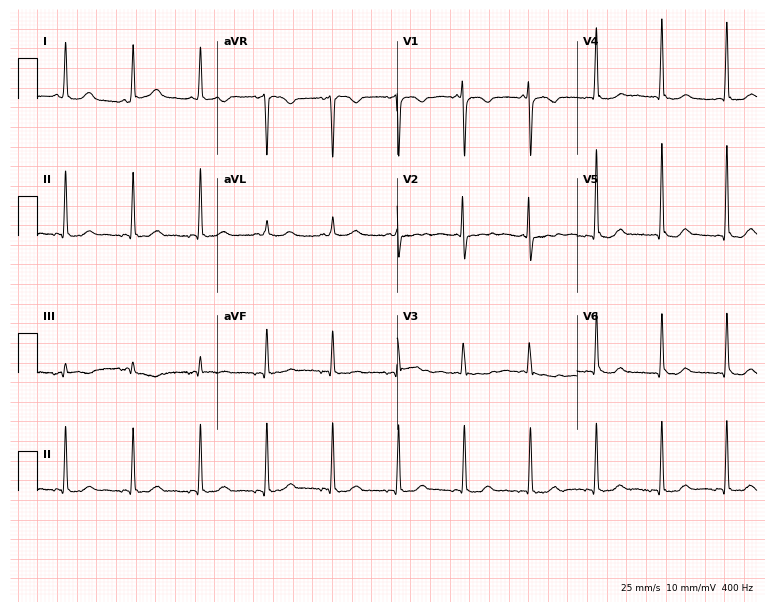
Electrocardiogram (7.3-second recording at 400 Hz), a 40-year-old woman. Of the six screened findings (first-degree AV block, right bundle branch block, left bundle branch block, sinus bradycardia, atrial fibrillation, sinus tachycardia), none is recorded. Other findings, if any, are not listed.